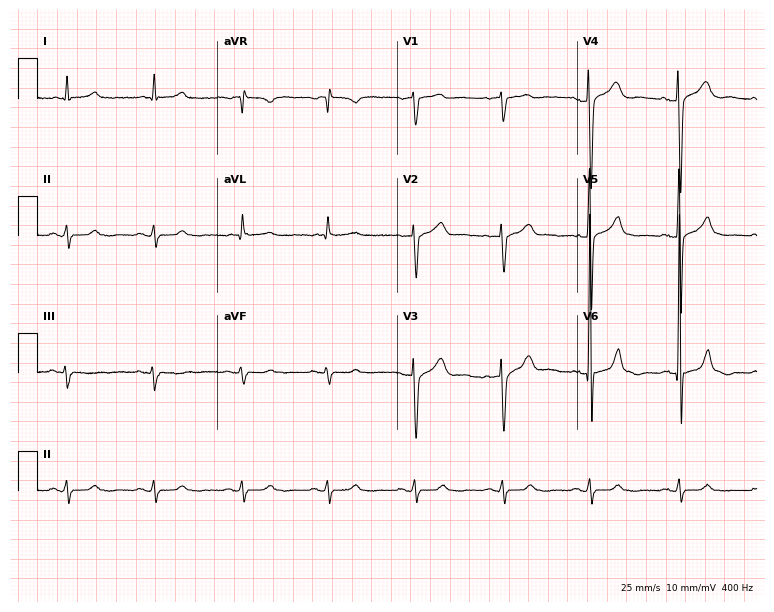
Resting 12-lead electrocardiogram. Patient: a man, 78 years old. None of these six findings is recorded: first-degree AV block, right bundle branch block (RBBB), left bundle branch block (LBBB), sinus bradycardia, atrial fibrillation (AF), sinus tachycardia. Other findings, if any, are not listed.